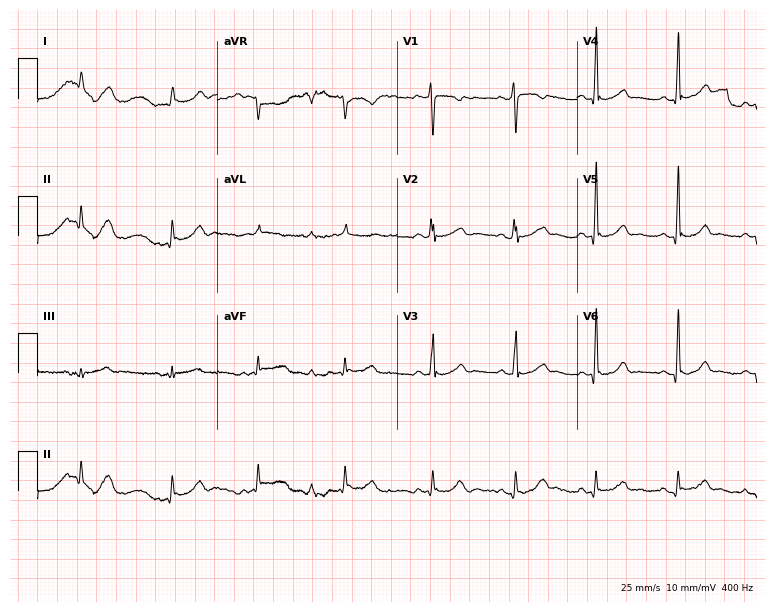
Standard 12-lead ECG recorded from a 30-year-old female patient. Read as a normal ECG.